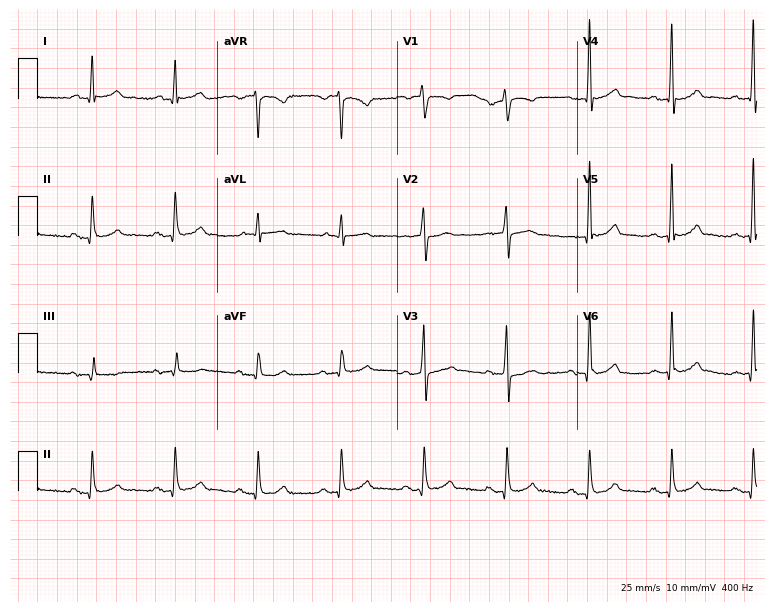
12-lead ECG from a 60-year-old male. Labelled as a normal ECG.